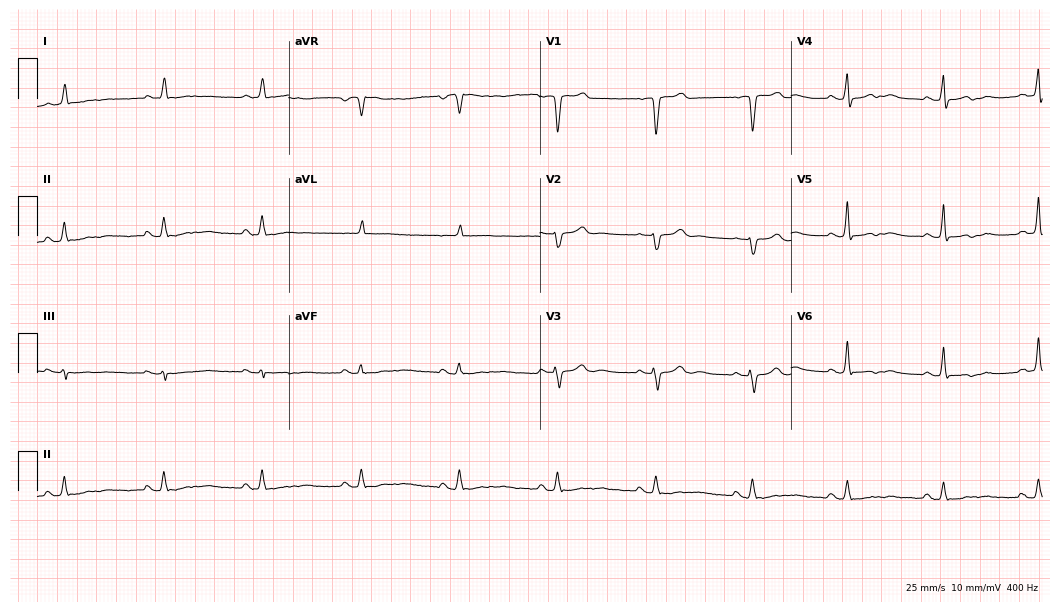
12-lead ECG from a 78-year-old male. No first-degree AV block, right bundle branch block, left bundle branch block, sinus bradycardia, atrial fibrillation or sinus tachycardia recorded for this tracing. Only these six findings were labelled.